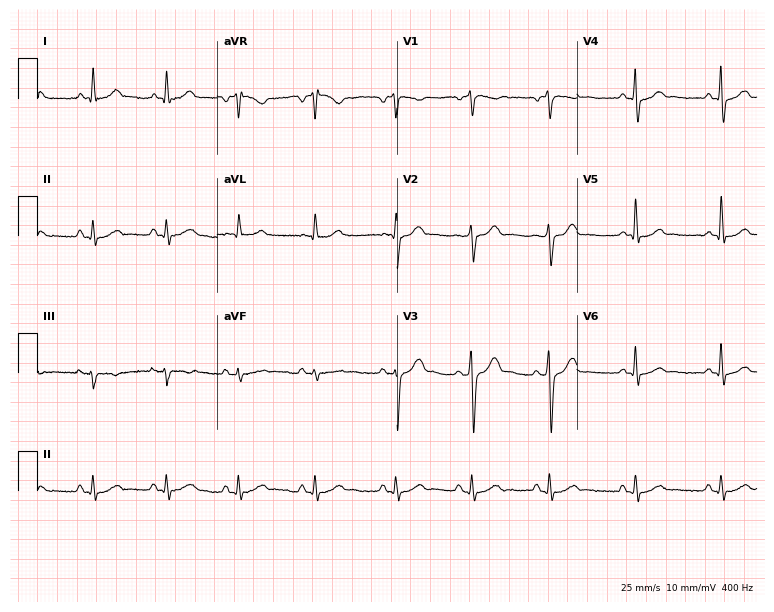
Resting 12-lead electrocardiogram. Patient: a male, 42 years old. Read as a normal ECG.